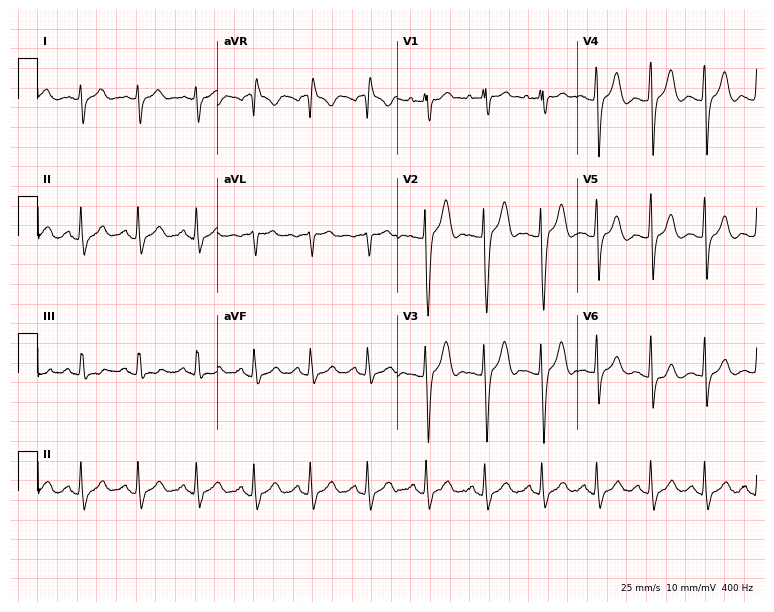
Electrocardiogram (7.3-second recording at 400 Hz), a 21-year-old man. Of the six screened findings (first-degree AV block, right bundle branch block, left bundle branch block, sinus bradycardia, atrial fibrillation, sinus tachycardia), none is recorded.